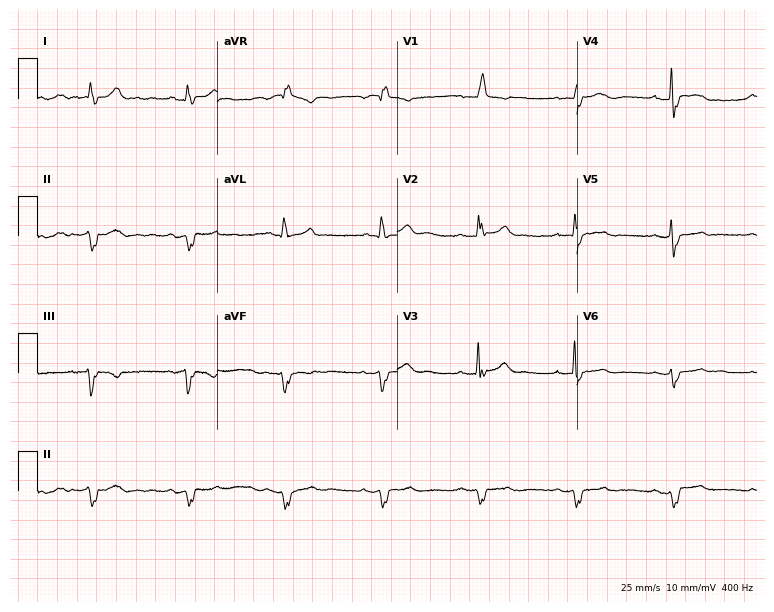
12-lead ECG from a man, 58 years old. Findings include right bundle branch block.